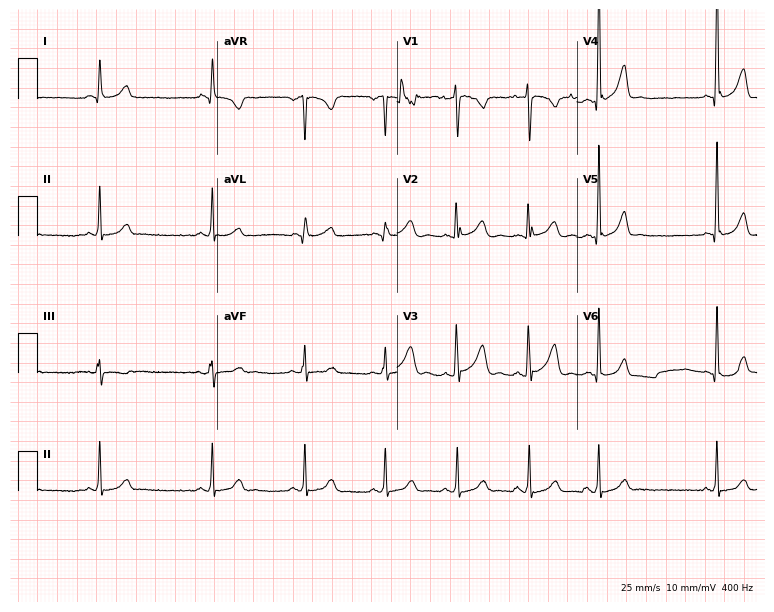
12-lead ECG from a 19-year-old female. Recorded interpretation: within normal limits.